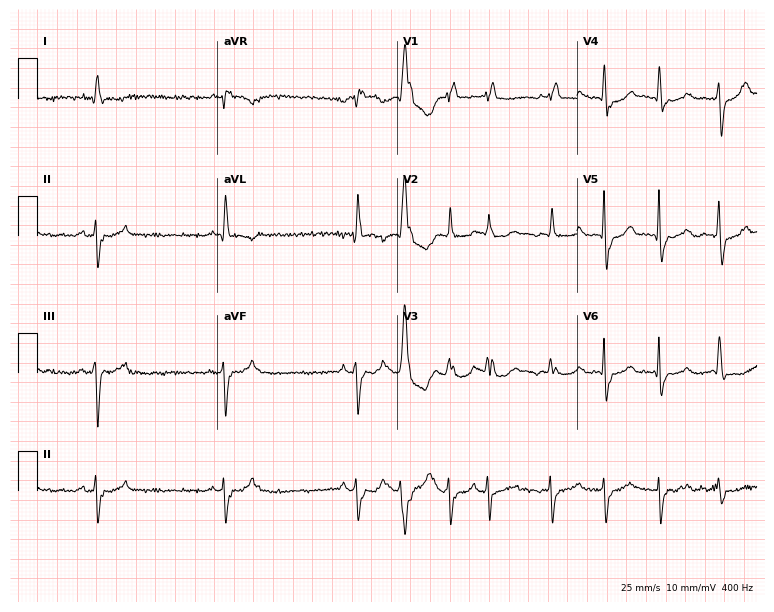
Standard 12-lead ECG recorded from a male patient, 84 years old (7.3-second recording at 400 Hz). The tracing shows right bundle branch block (RBBB), atrial fibrillation (AF).